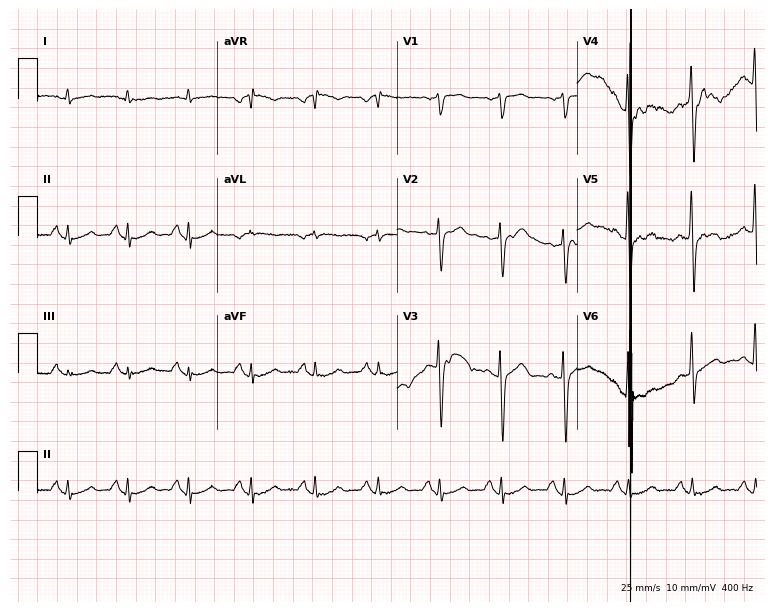
Standard 12-lead ECG recorded from a male patient, 70 years old (7.3-second recording at 400 Hz). None of these six findings is recorded: first-degree AV block, right bundle branch block, left bundle branch block, sinus bradycardia, atrial fibrillation, sinus tachycardia.